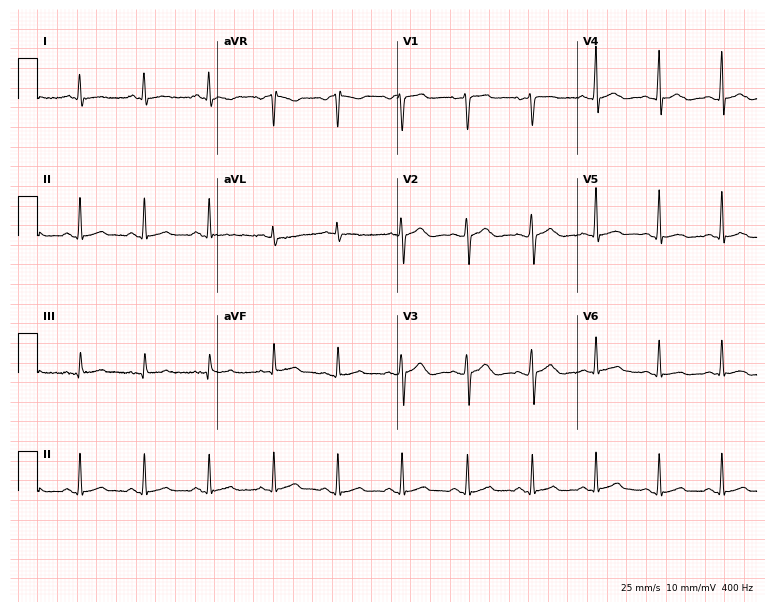
Electrocardiogram, a 39-year-old female. Of the six screened findings (first-degree AV block, right bundle branch block (RBBB), left bundle branch block (LBBB), sinus bradycardia, atrial fibrillation (AF), sinus tachycardia), none is recorded. Findings outside these six are not listed.